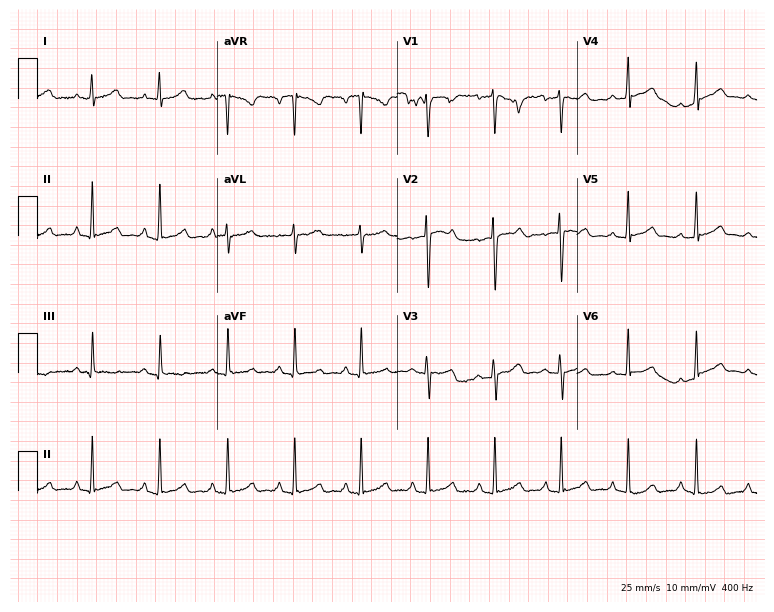
ECG (7.3-second recording at 400 Hz) — a female patient, 29 years old. Labelled as a normal ECG.